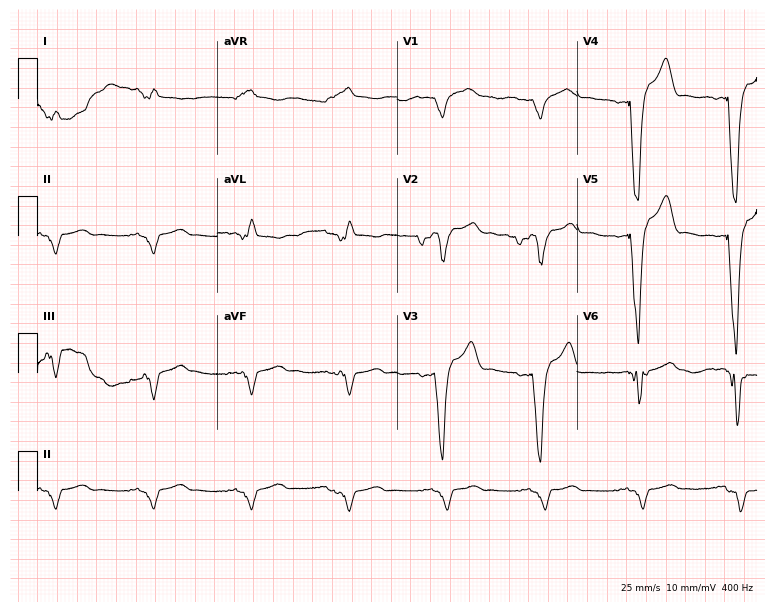
Standard 12-lead ECG recorded from a 41-year-old male (7.3-second recording at 400 Hz). None of these six findings is recorded: first-degree AV block, right bundle branch block, left bundle branch block, sinus bradycardia, atrial fibrillation, sinus tachycardia. Other findings, if any, are not listed.